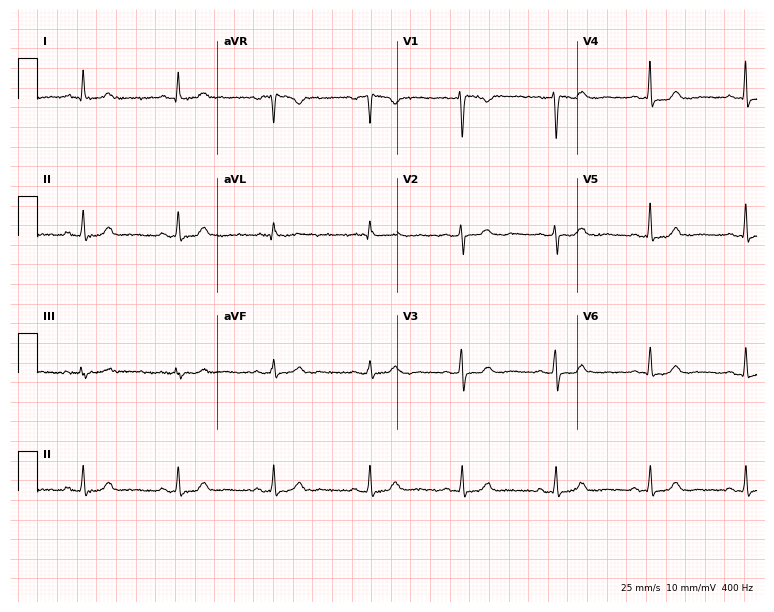
12-lead ECG from a female patient, 45 years old (7.3-second recording at 400 Hz). Recorded interpretation: within normal limits.